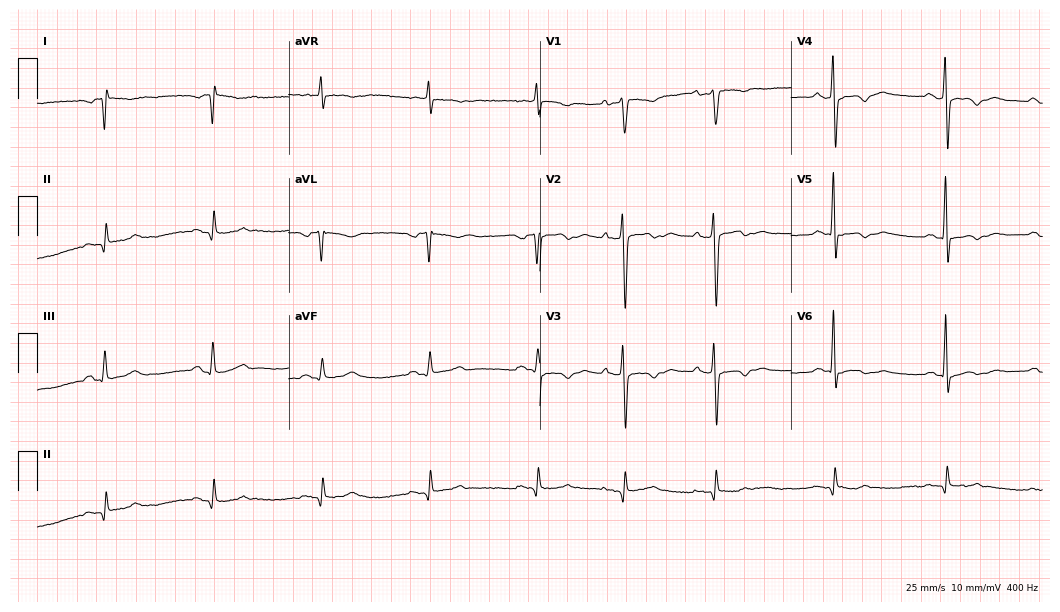
12-lead ECG from an 81-year-old male. No first-degree AV block, right bundle branch block (RBBB), left bundle branch block (LBBB), sinus bradycardia, atrial fibrillation (AF) or sinus tachycardia recorded for this tracing. Other findings, if any, are not listed.